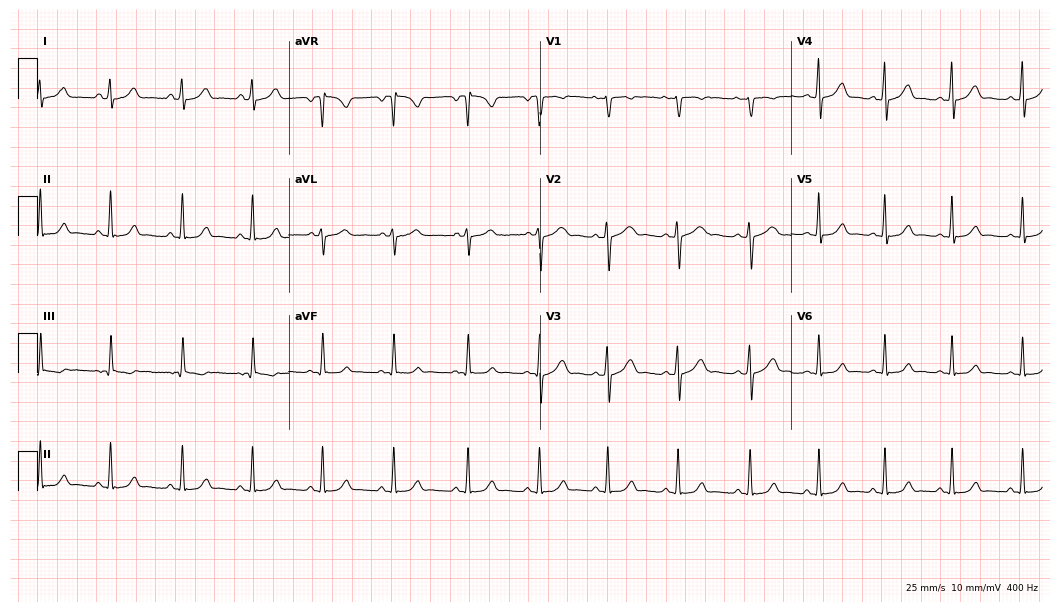
12-lead ECG from a female patient, 26 years old (10.2-second recording at 400 Hz). Recorded interpretation: within normal limits.